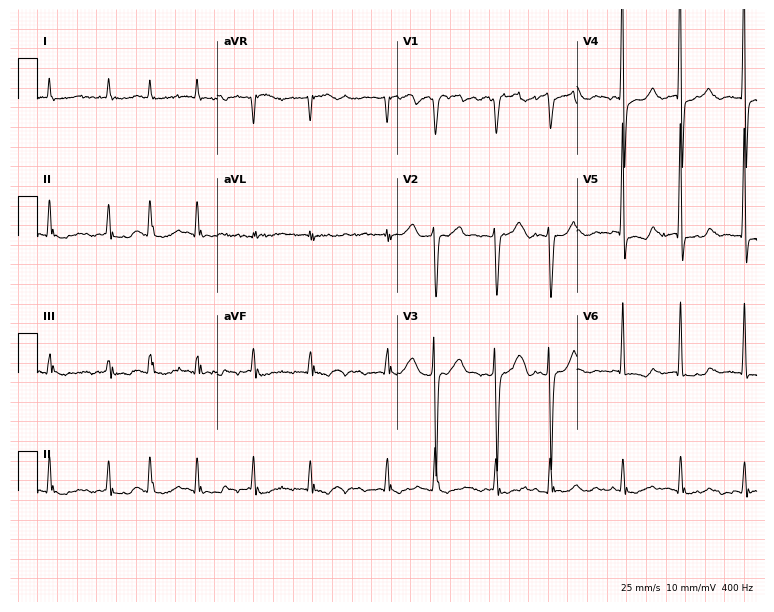
12-lead ECG (7.3-second recording at 400 Hz) from a 74-year-old female. Findings include atrial fibrillation (AF).